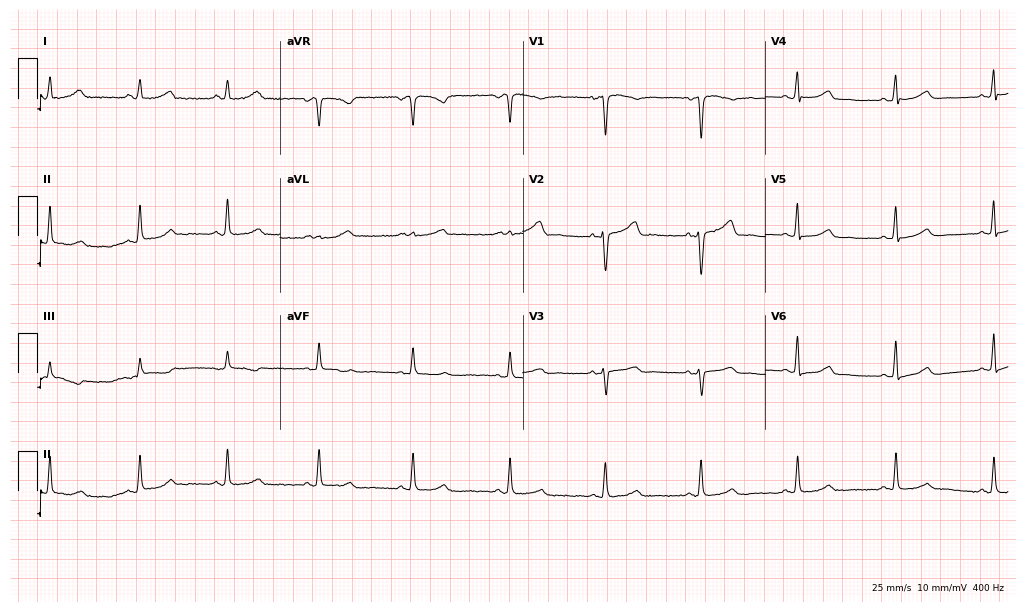
Standard 12-lead ECG recorded from a female, 59 years old (9.9-second recording at 400 Hz). Read as a normal ECG.